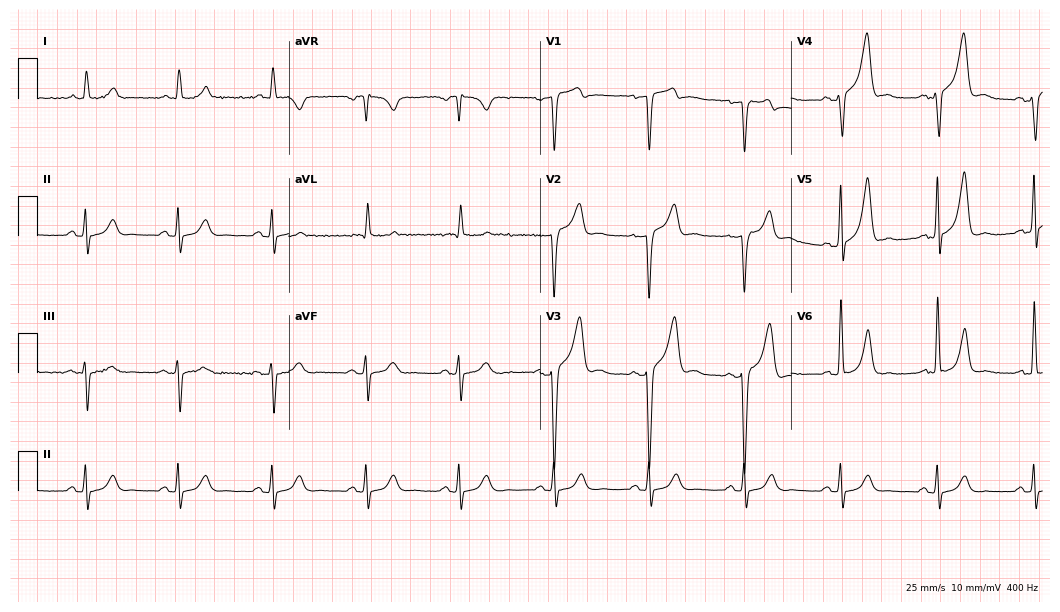
12-lead ECG from a 63-year-old male (10.2-second recording at 400 Hz). No first-degree AV block, right bundle branch block (RBBB), left bundle branch block (LBBB), sinus bradycardia, atrial fibrillation (AF) or sinus tachycardia recorded for this tracing. Findings outside these six are not listed.